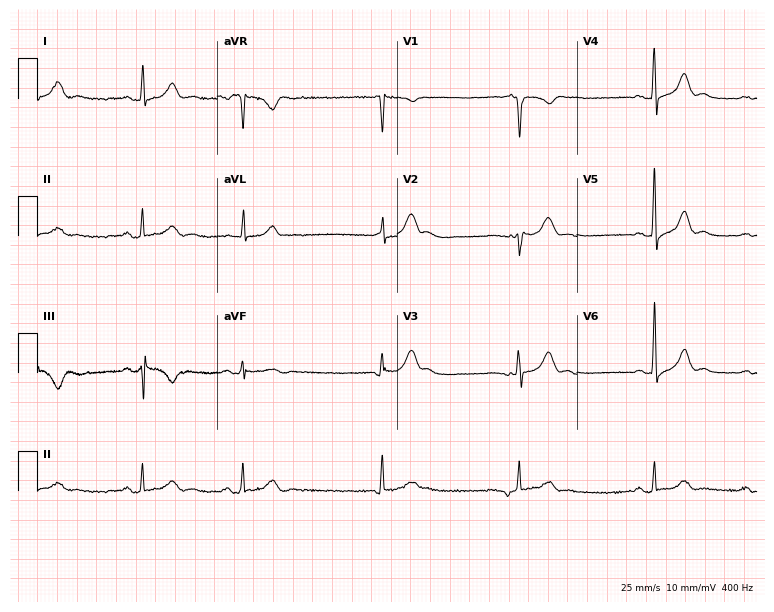
ECG — a 41-year-old male. Screened for six findings — first-degree AV block, right bundle branch block, left bundle branch block, sinus bradycardia, atrial fibrillation, sinus tachycardia — none is recorded. Other findings, if any, are not listed.